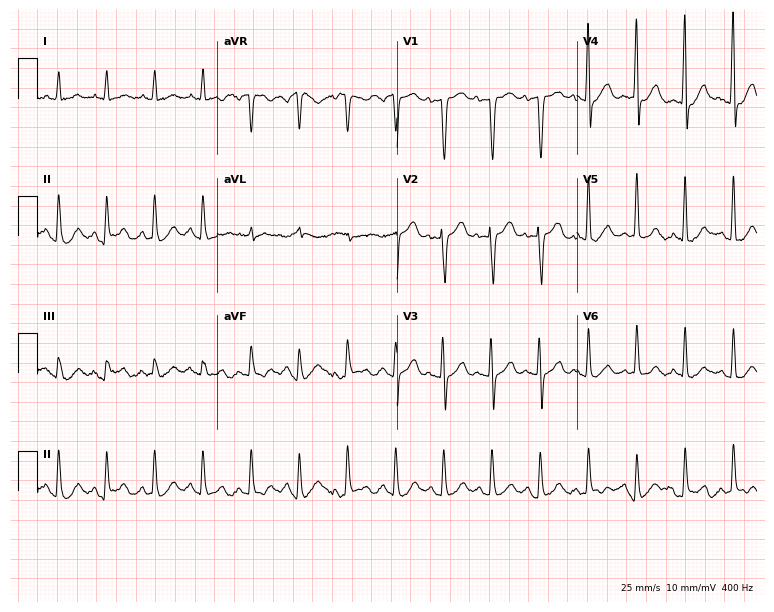
Electrocardiogram, a female patient, 85 years old. Interpretation includes sinus tachycardia (a sinus rate of 100 beats per minute or more).